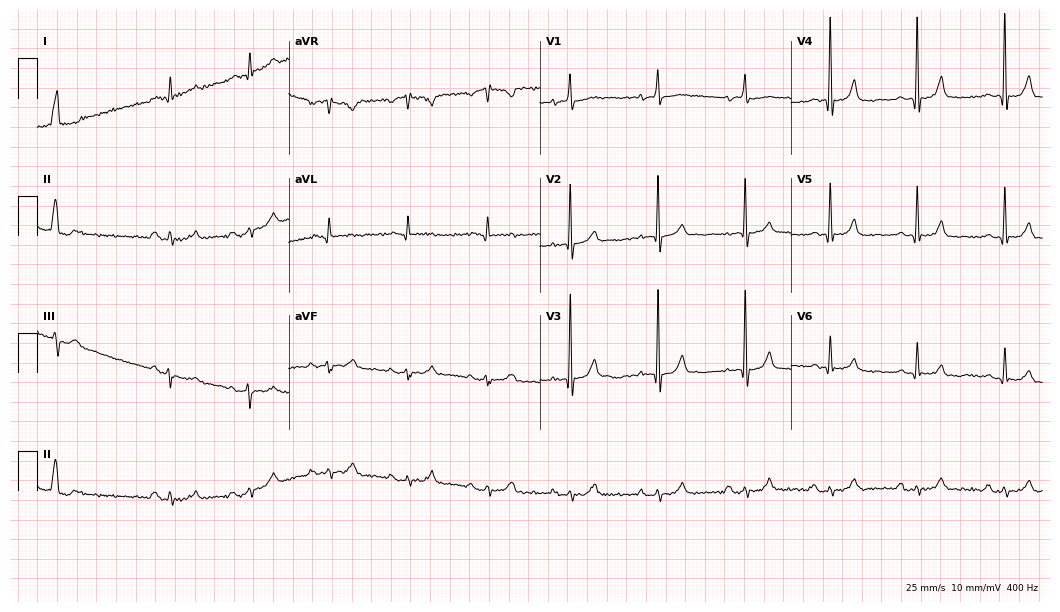
Standard 12-lead ECG recorded from an 84-year-old male (10.2-second recording at 400 Hz). None of these six findings is recorded: first-degree AV block, right bundle branch block, left bundle branch block, sinus bradycardia, atrial fibrillation, sinus tachycardia. Findings outside these six are not listed.